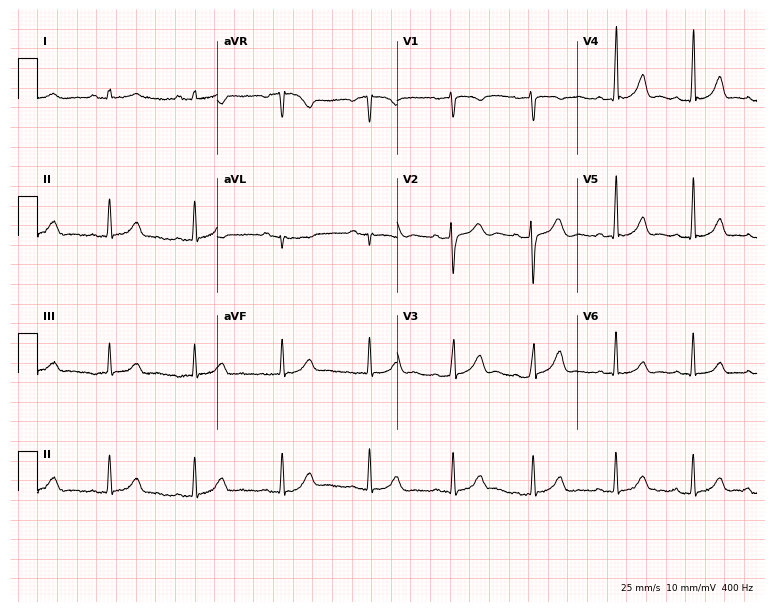
Resting 12-lead electrocardiogram. Patient: a woman, 27 years old. Read as a normal ECG.